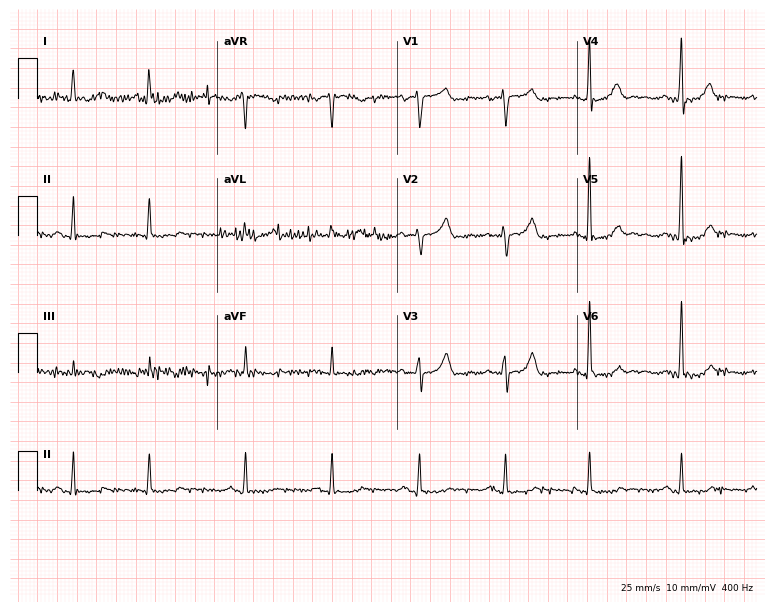
12-lead ECG from a female patient, 75 years old (7.3-second recording at 400 Hz). No first-degree AV block, right bundle branch block, left bundle branch block, sinus bradycardia, atrial fibrillation or sinus tachycardia recorded for this tracing. Findings outside these six are not listed.